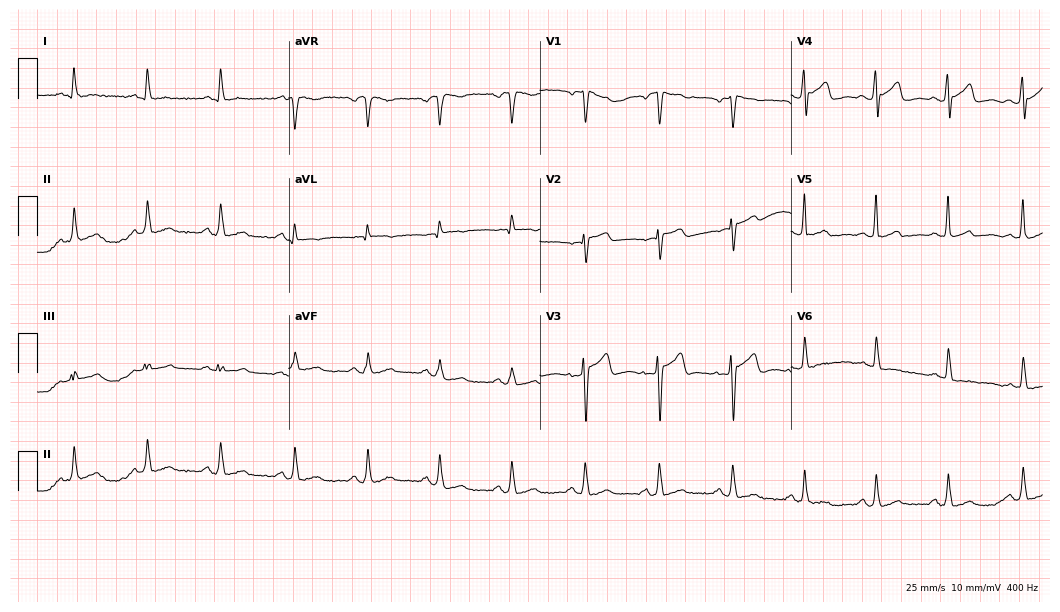
12-lead ECG from a 54-year-old man (10.2-second recording at 400 Hz). Recorded interpretation: within normal limits.